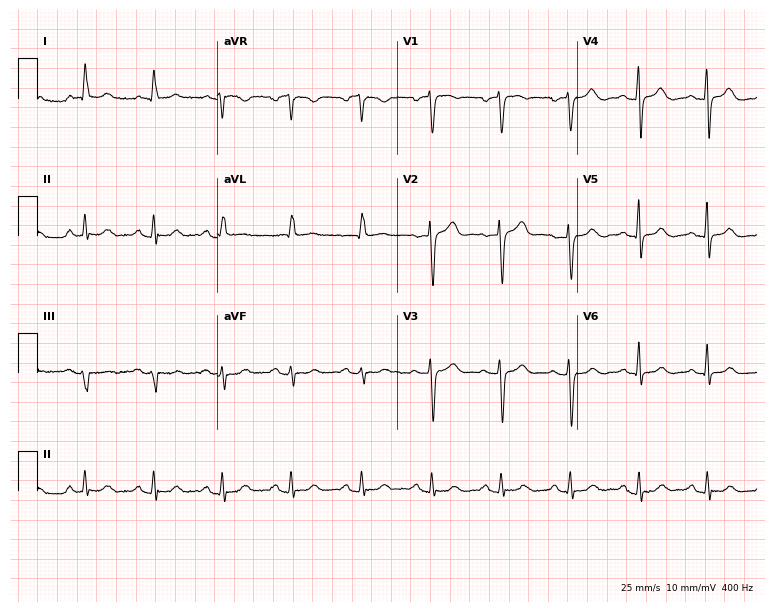
Electrocardiogram (7.3-second recording at 400 Hz), a female patient, 69 years old. Overall reading on record: normal ECG.